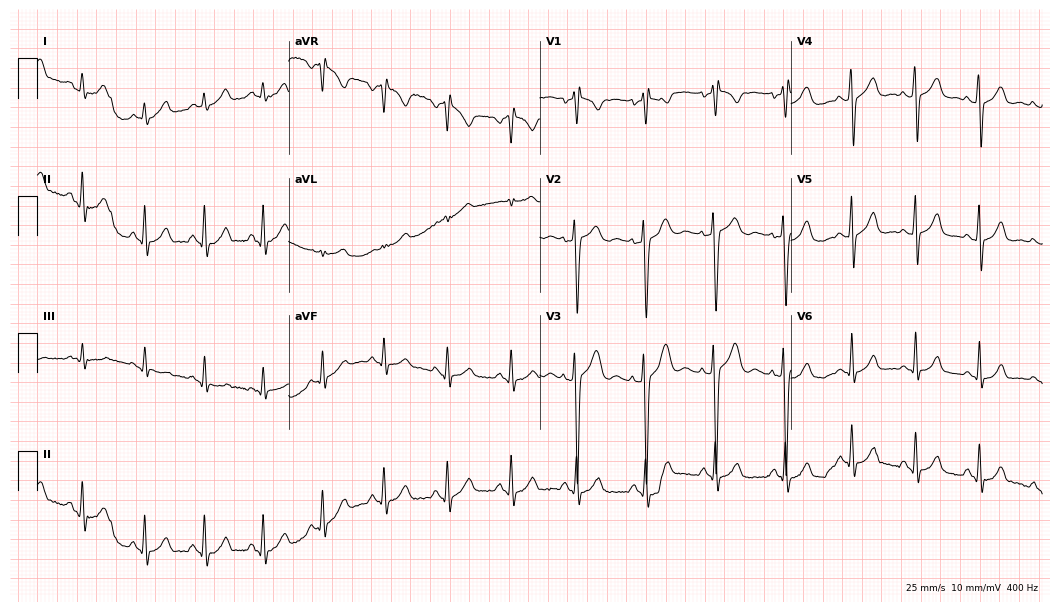
Standard 12-lead ECG recorded from a 19-year-old female. None of these six findings is recorded: first-degree AV block, right bundle branch block (RBBB), left bundle branch block (LBBB), sinus bradycardia, atrial fibrillation (AF), sinus tachycardia. Other findings, if any, are not listed.